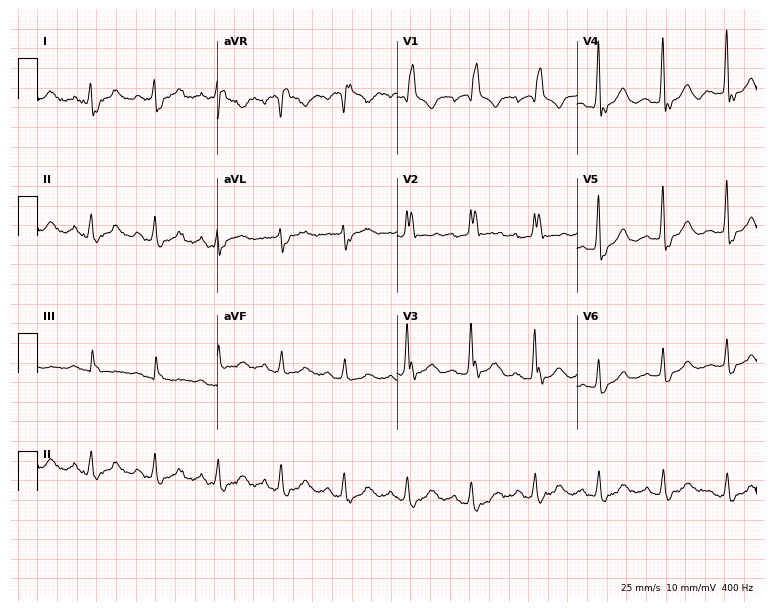
Resting 12-lead electrocardiogram (7.3-second recording at 400 Hz). Patient: an 81-year-old man. The tracing shows right bundle branch block (RBBB).